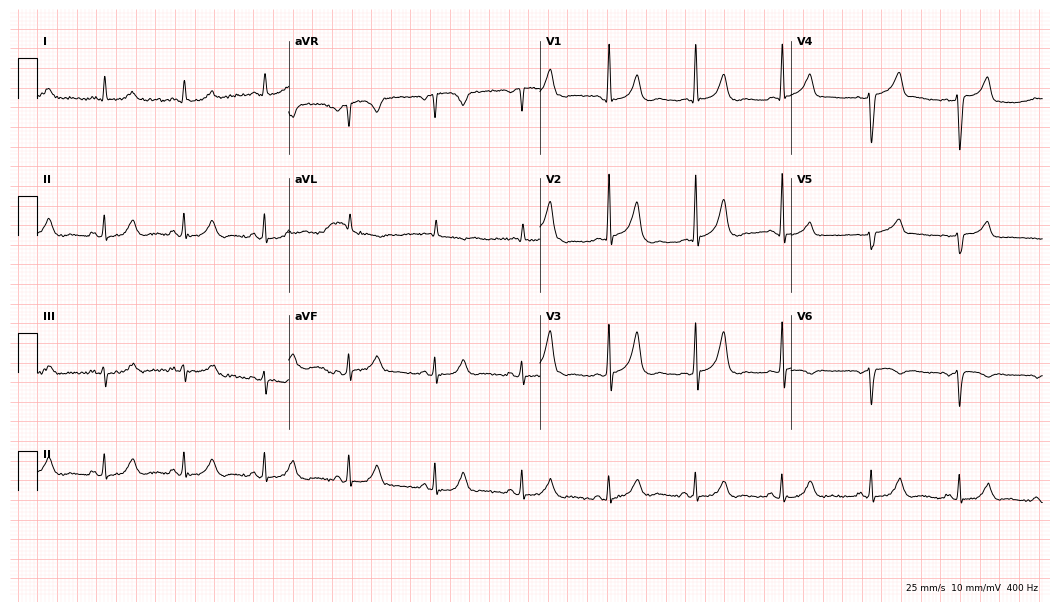
Standard 12-lead ECG recorded from a 62-year-old female patient. None of these six findings is recorded: first-degree AV block, right bundle branch block, left bundle branch block, sinus bradycardia, atrial fibrillation, sinus tachycardia. Findings outside these six are not listed.